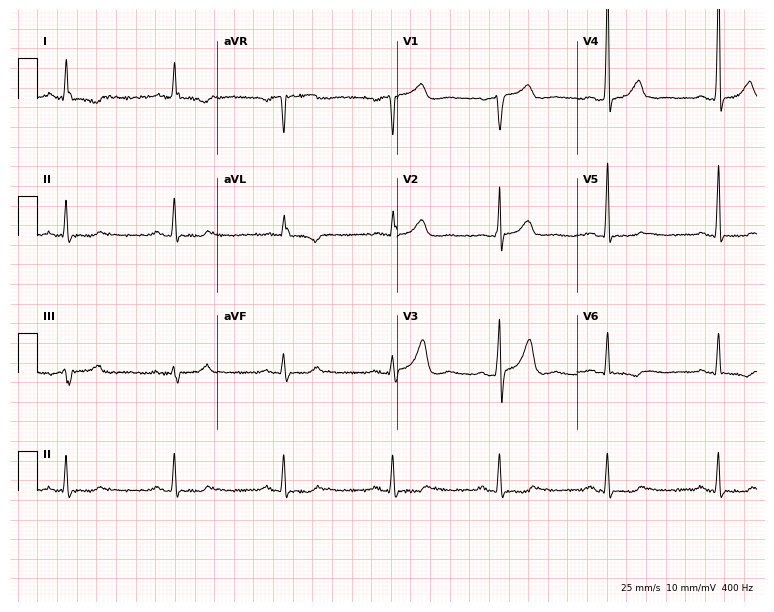
Standard 12-lead ECG recorded from a man, 68 years old (7.3-second recording at 400 Hz). None of these six findings is recorded: first-degree AV block, right bundle branch block (RBBB), left bundle branch block (LBBB), sinus bradycardia, atrial fibrillation (AF), sinus tachycardia. Other findings, if any, are not listed.